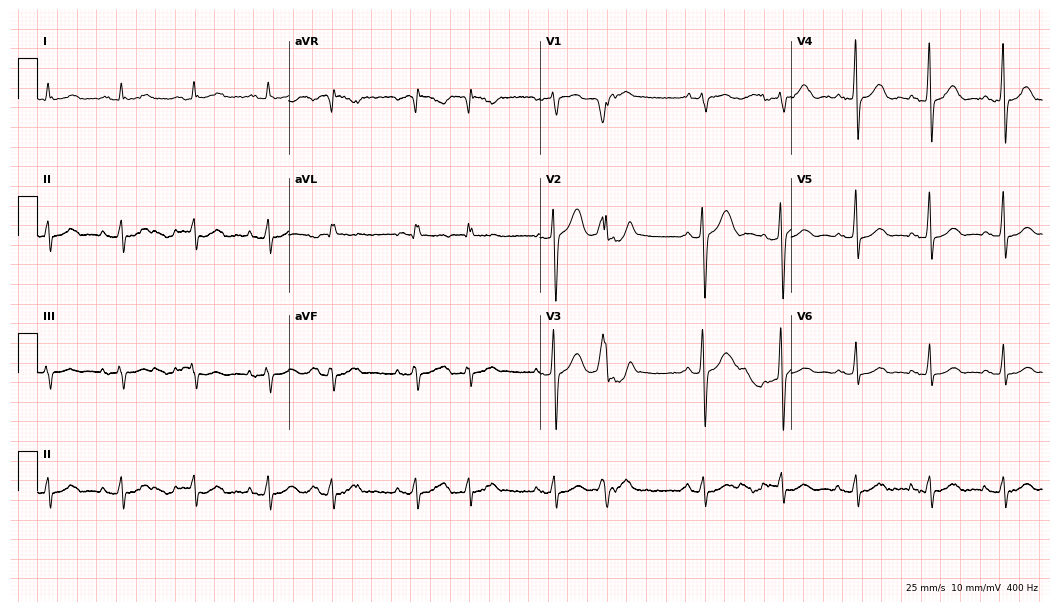
ECG (10.2-second recording at 400 Hz) — a 78-year-old man. Screened for six findings — first-degree AV block, right bundle branch block, left bundle branch block, sinus bradycardia, atrial fibrillation, sinus tachycardia — none is recorded.